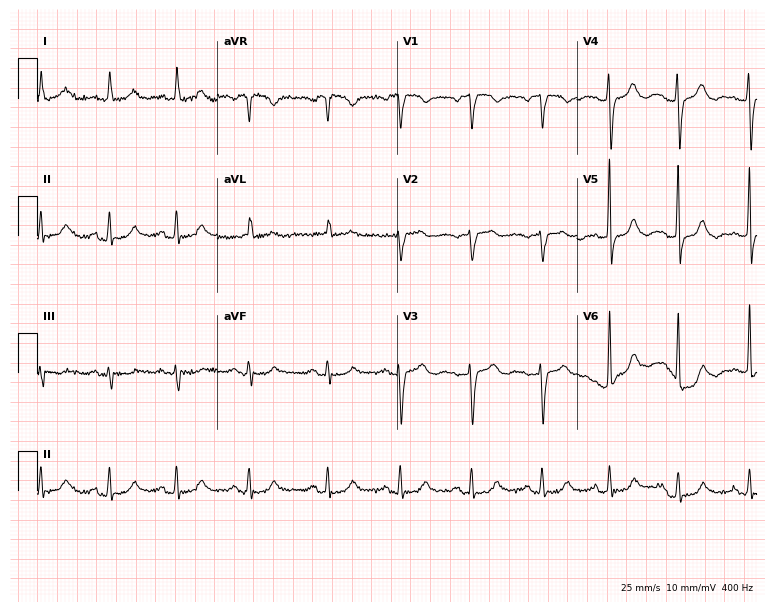
ECG (7.3-second recording at 400 Hz) — a 71-year-old female. Screened for six findings — first-degree AV block, right bundle branch block, left bundle branch block, sinus bradycardia, atrial fibrillation, sinus tachycardia — none is recorded. Other findings, if any, are not listed.